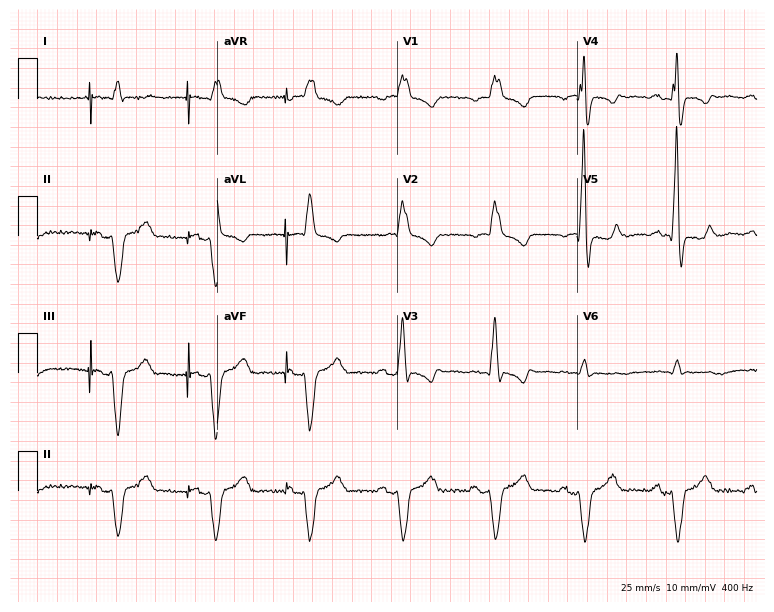
12-lead ECG from a male, 68 years old. No first-degree AV block, right bundle branch block, left bundle branch block, sinus bradycardia, atrial fibrillation or sinus tachycardia recorded for this tracing. Findings outside these six are not listed.